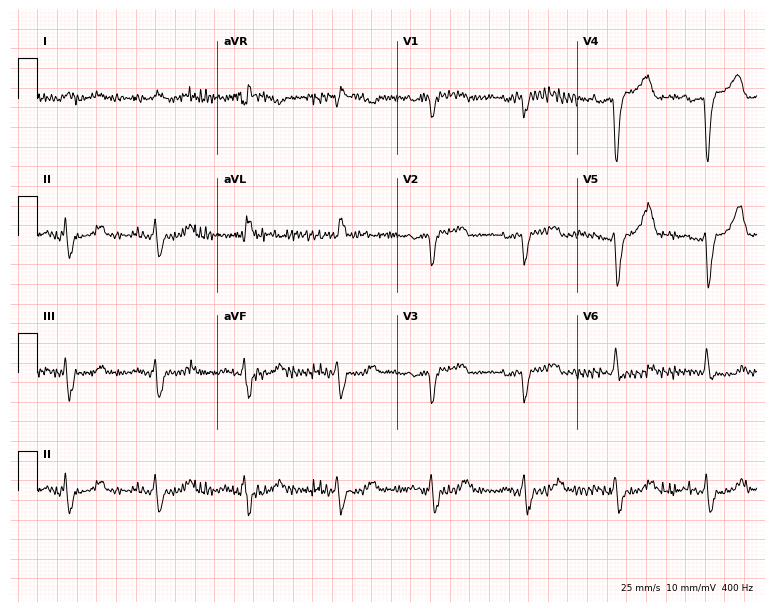
12-lead ECG from an 84-year-old female patient. No first-degree AV block, right bundle branch block (RBBB), left bundle branch block (LBBB), sinus bradycardia, atrial fibrillation (AF) or sinus tachycardia recorded for this tracing.